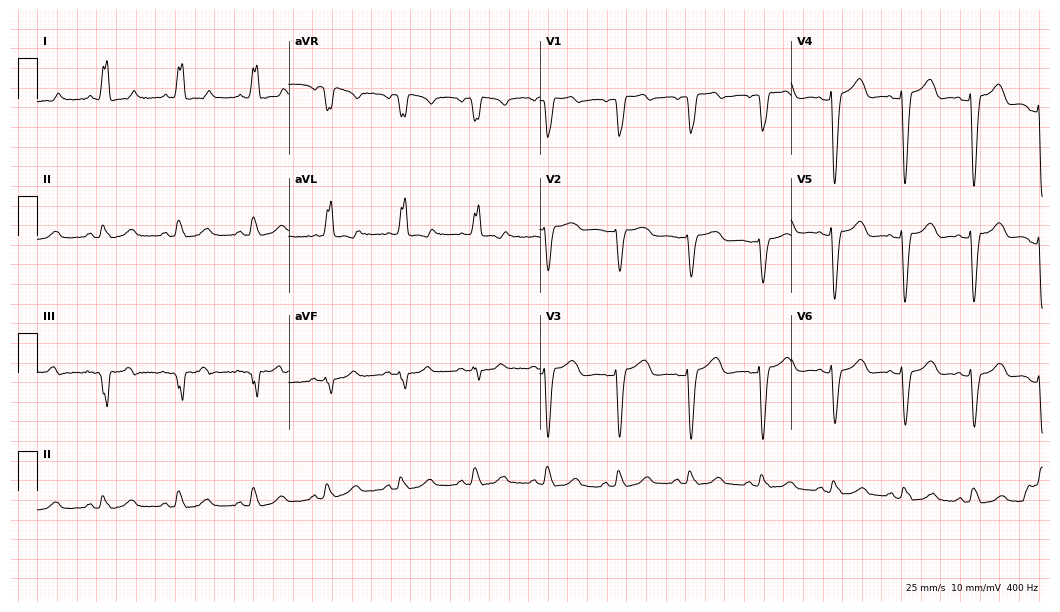
Resting 12-lead electrocardiogram (10.2-second recording at 400 Hz). Patient: a woman, 72 years old. The tracing shows left bundle branch block.